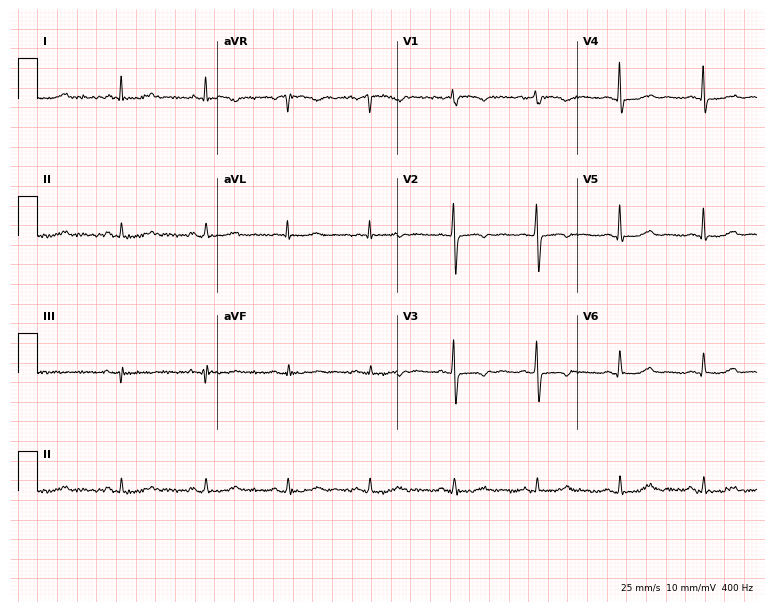
ECG — a female patient, 62 years old. Screened for six findings — first-degree AV block, right bundle branch block (RBBB), left bundle branch block (LBBB), sinus bradycardia, atrial fibrillation (AF), sinus tachycardia — none is recorded.